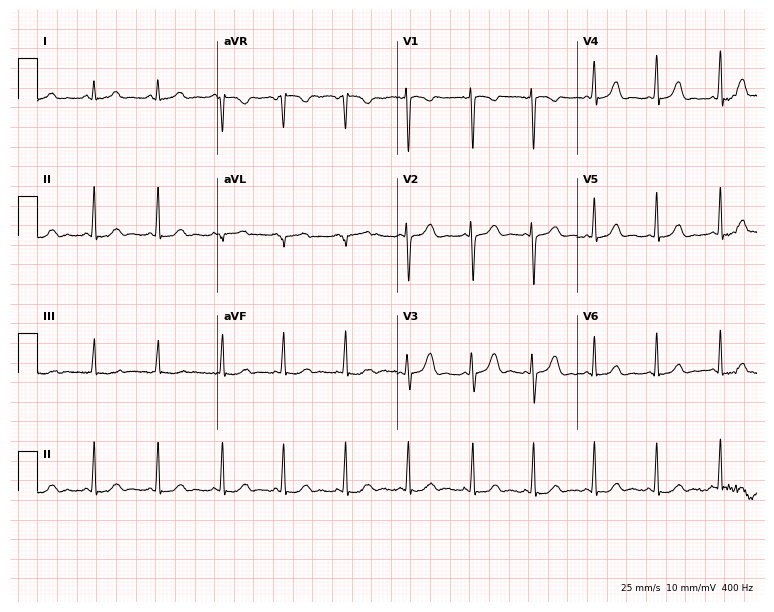
12-lead ECG from a 17-year-old female patient (7.3-second recording at 400 Hz). No first-degree AV block, right bundle branch block (RBBB), left bundle branch block (LBBB), sinus bradycardia, atrial fibrillation (AF) or sinus tachycardia recorded for this tracing. Only these six findings were labelled.